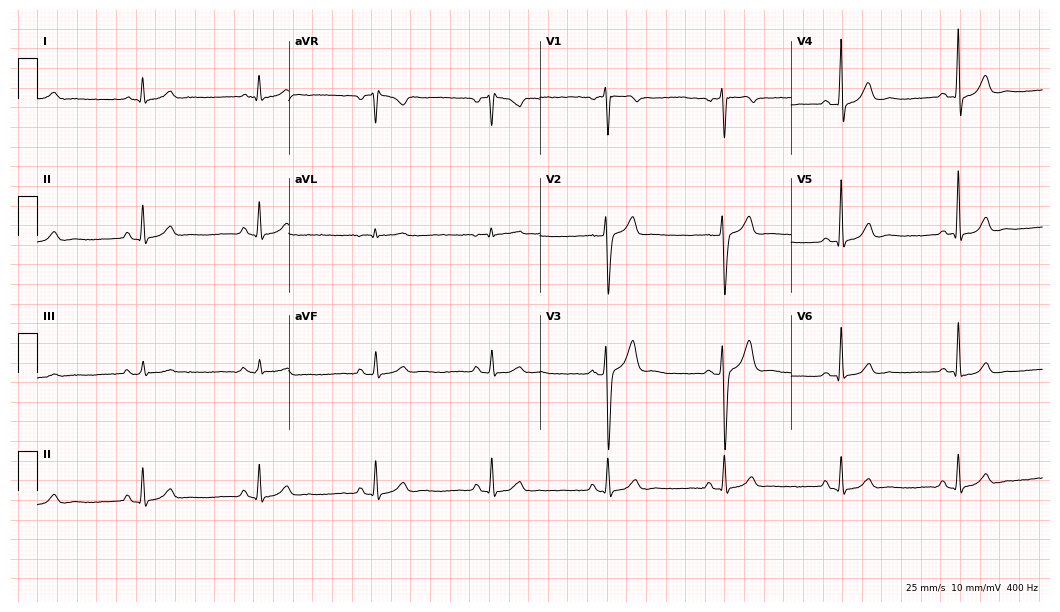
12-lead ECG from a 49-year-old man. No first-degree AV block, right bundle branch block (RBBB), left bundle branch block (LBBB), sinus bradycardia, atrial fibrillation (AF) or sinus tachycardia recorded for this tracing.